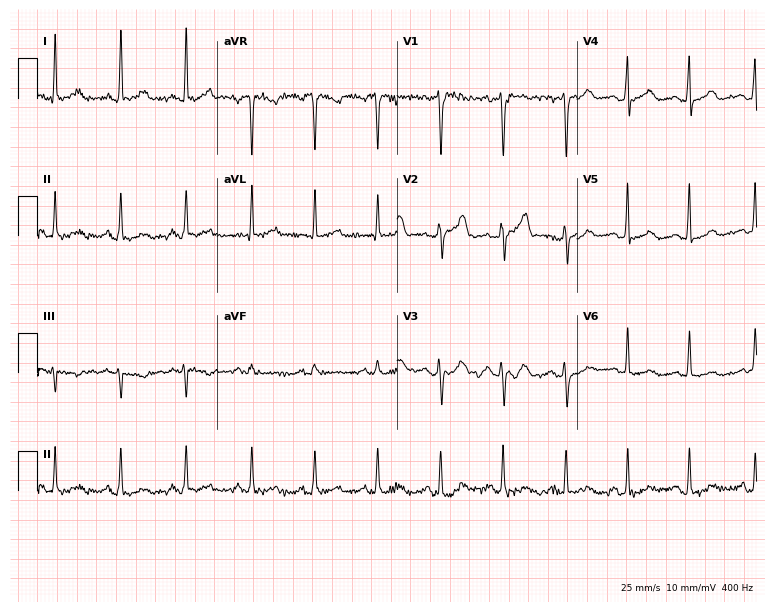
Resting 12-lead electrocardiogram. Patient: a female, 41 years old. None of these six findings is recorded: first-degree AV block, right bundle branch block (RBBB), left bundle branch block (LBBB), sinus bradycardia, atrial fibrillation (AF), sinus tachycardia. Findings outside these six are not listed.